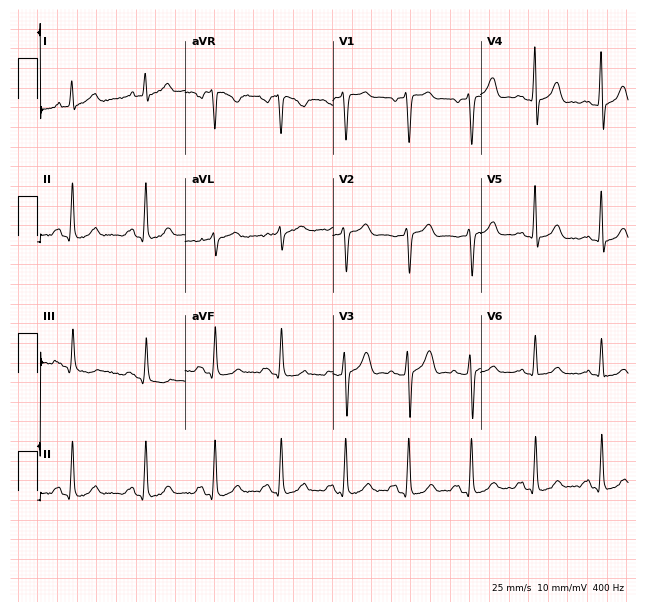
Electrocardiogram (6-second recording at 400 Hz), a man, 54 years old. Of the six screened findings (first-degree AV block, right bundle branch block (RBBB), left bundle branch block (LBBB), sinus bradycardia, atrial fibrillation (AF), sinus tachycardia), none is recorded. Only these six findings were labelled.